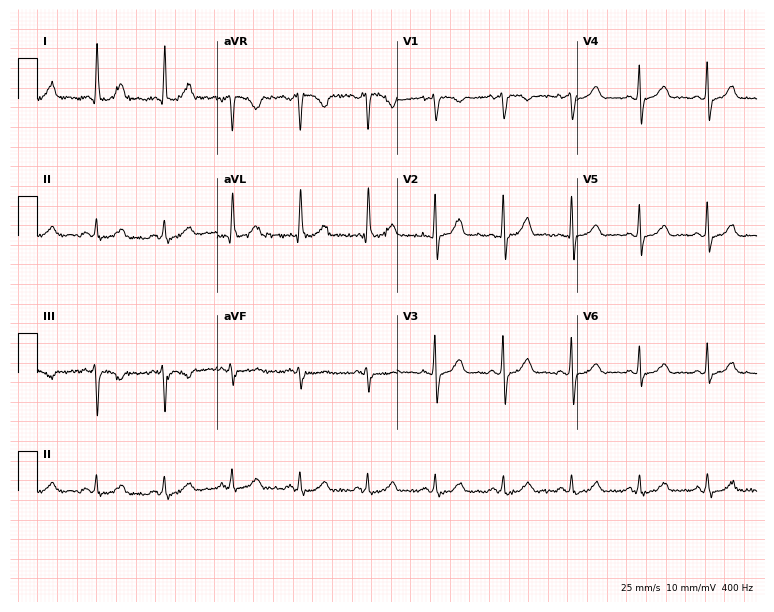
12-lead ECG from a 43-year-old female patient. Recorded interpretation: within normal limits.